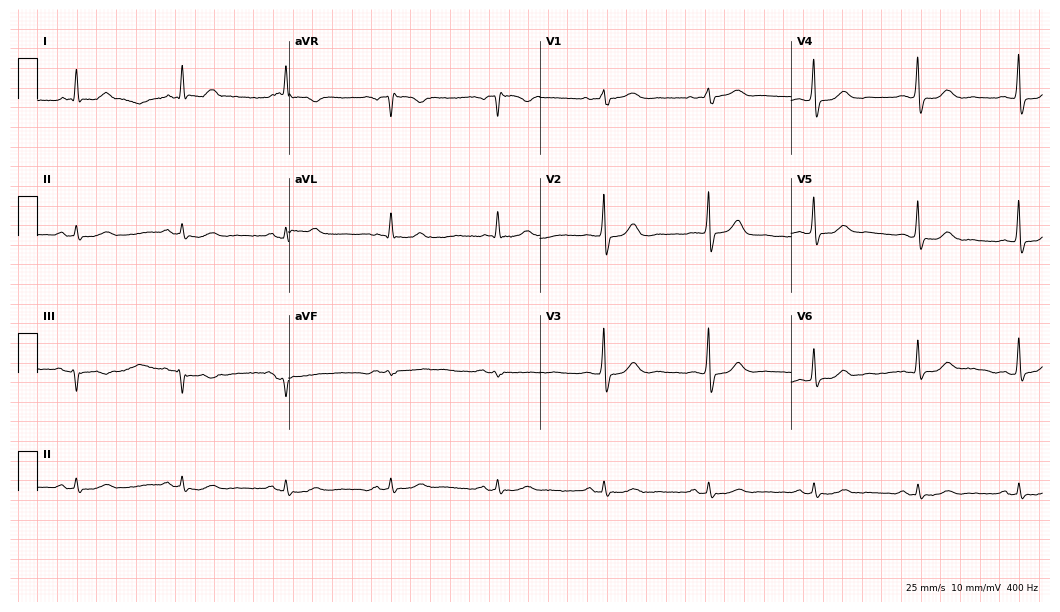
Resting 12-lead electrocardiogram. Patient: an 83-year-old female. None of these six findings is recorded: first-degree AV block, right bundle branch block, left bundle branch block, sinus bradycardia, atrial fibrillation, sinus tachycardia.